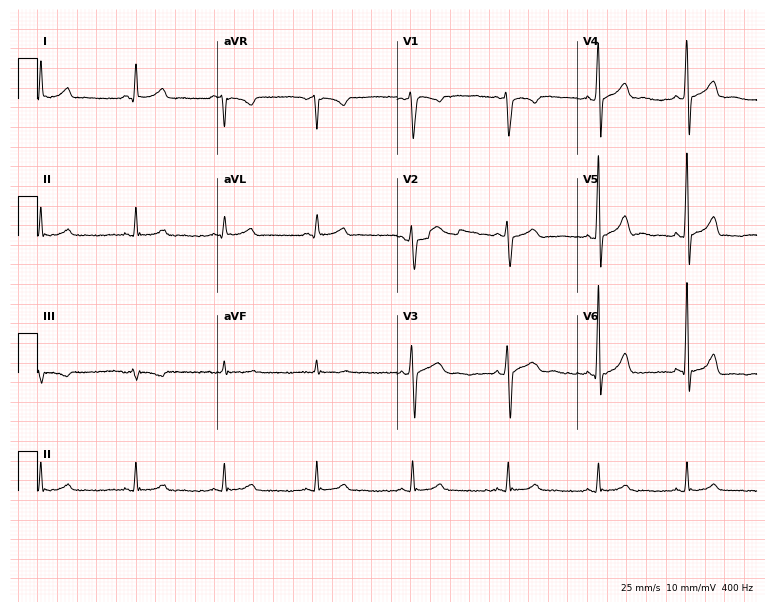
12-lead ECG from a male patient, 42 years old. Recorded interpretation: within normal limits.